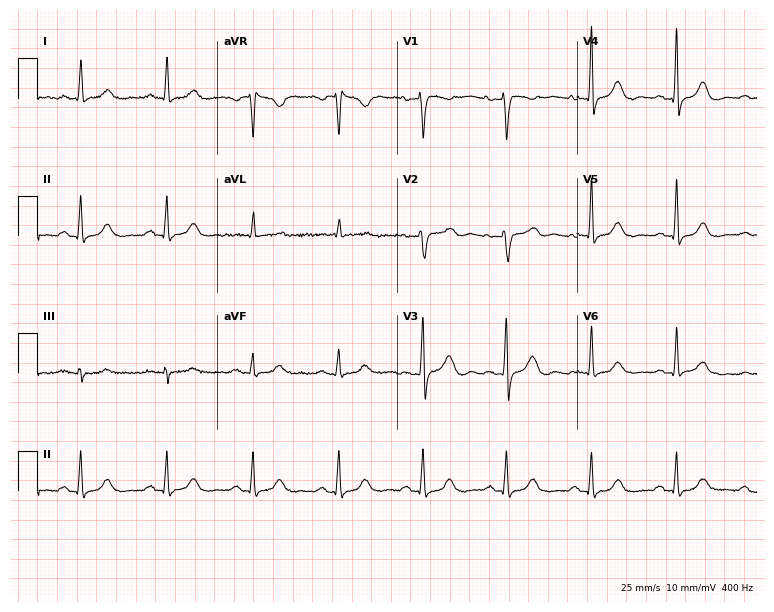
Resting 12-lead electrocardiogram (7.3-second recording at 400 Hz). Patient: a female, 59 years old. None of these six findings is recorded: first-degree AV block, right bundle branch block, left bundle branch block, sinus bradycardia, atrial fibrillation, sinus tachycardia.